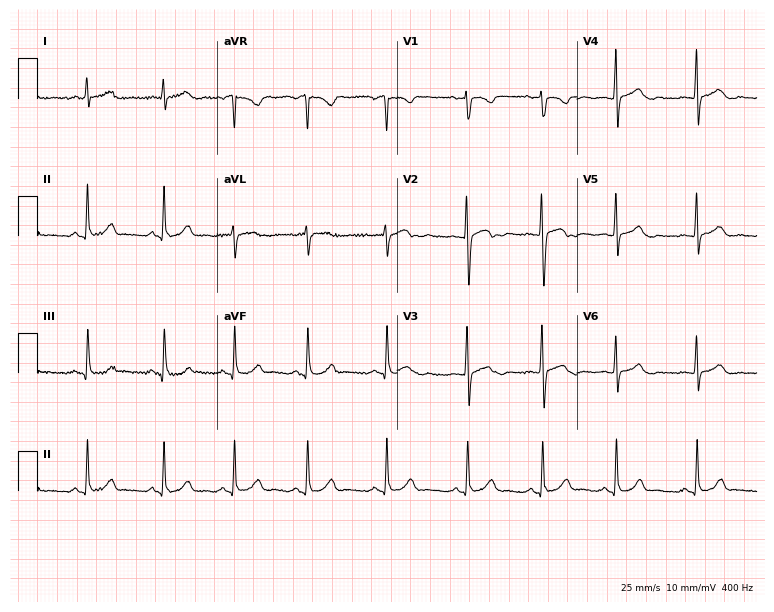
Electrocardiogram (7.3-second recording at 400 Hz), a female, 33 years old. Of the six screened findings (first-degree AV block, right bundle branch block, left bundle branch block, sinus bradycardia, atrial fibrillation, sinus tachycardia), none is recorded. Other findings, if any, are not listed.